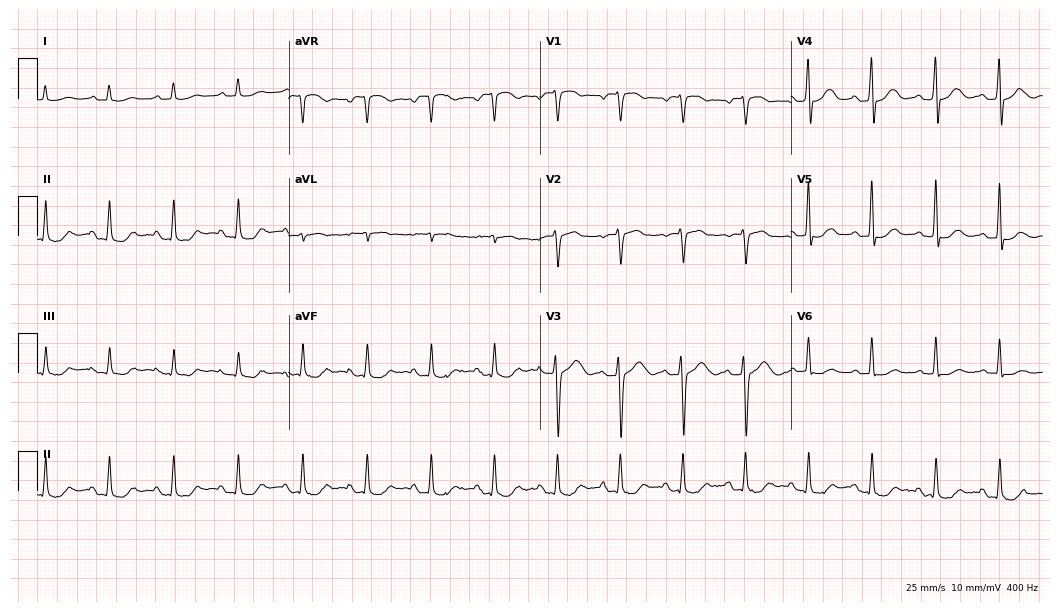
12-lead ECG from a female, 83 years old. Recorded interpretation: within normal limits.